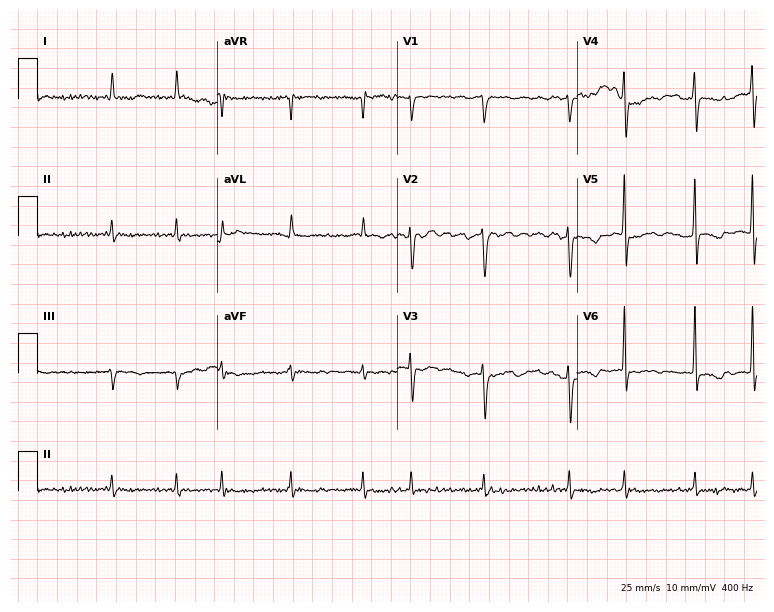
Resting 12-lead electrocardiogram (7.3-second recording at 400 Hz). Patient: a 78-year-old female. The tracing shows atrial fibrillation (AF).